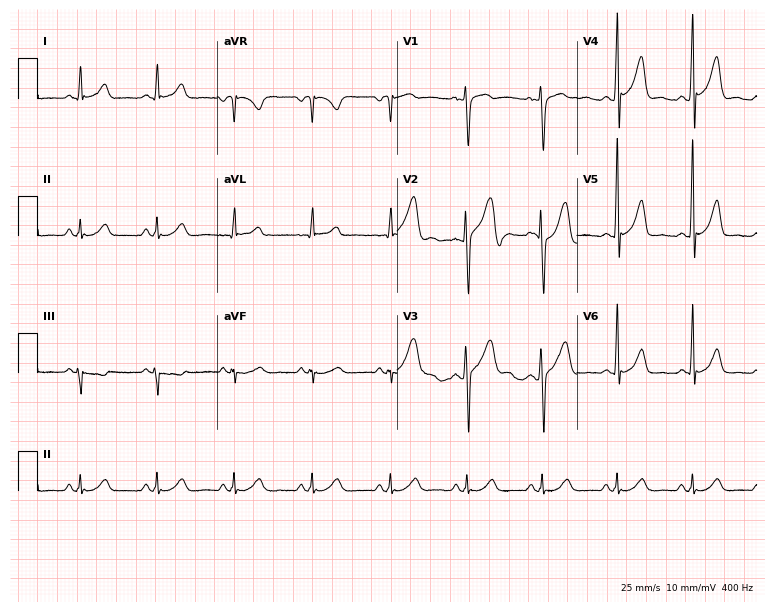
ECG — a female patient, 44 years old. Labelled as a normal ECG.